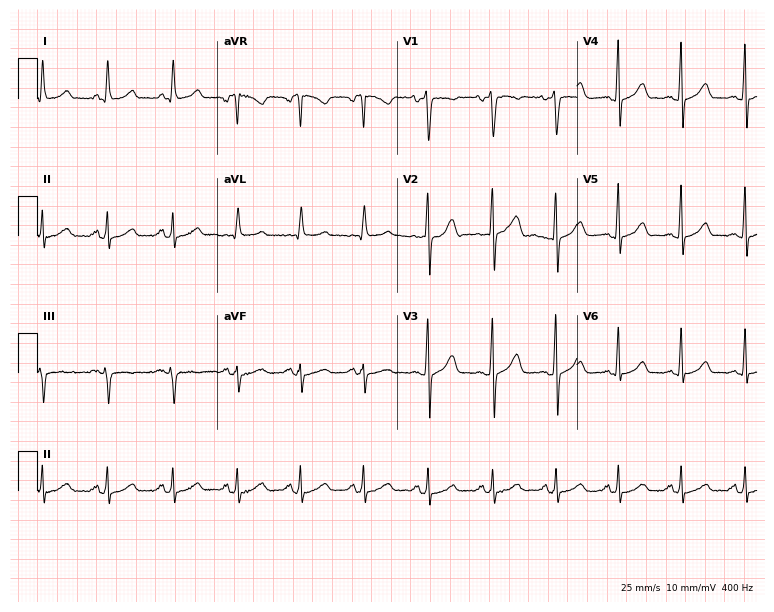
12-lead ECG (7.3-second recording at 400 Hz) from a female patient, 30 years old. Labelled as a normal ECG.